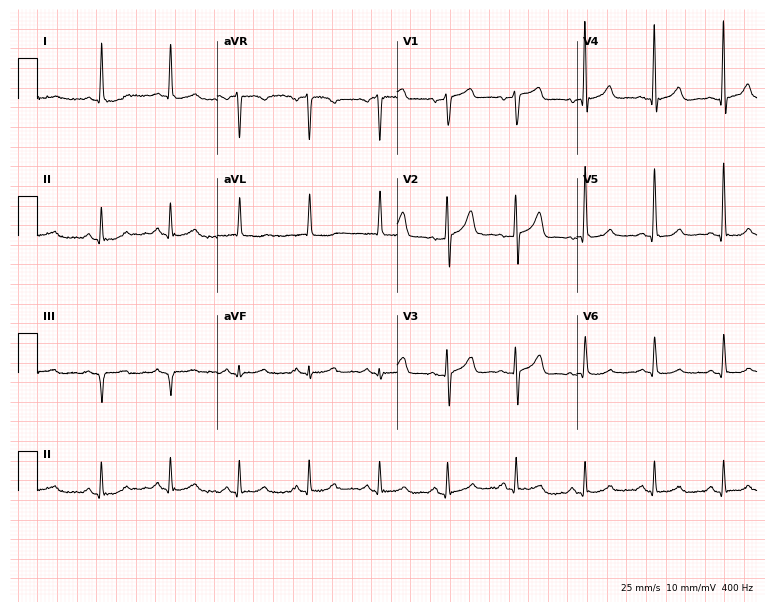
Electrocardiogram, a 61-year-old male patient. Overall reading on record: normal ECG.